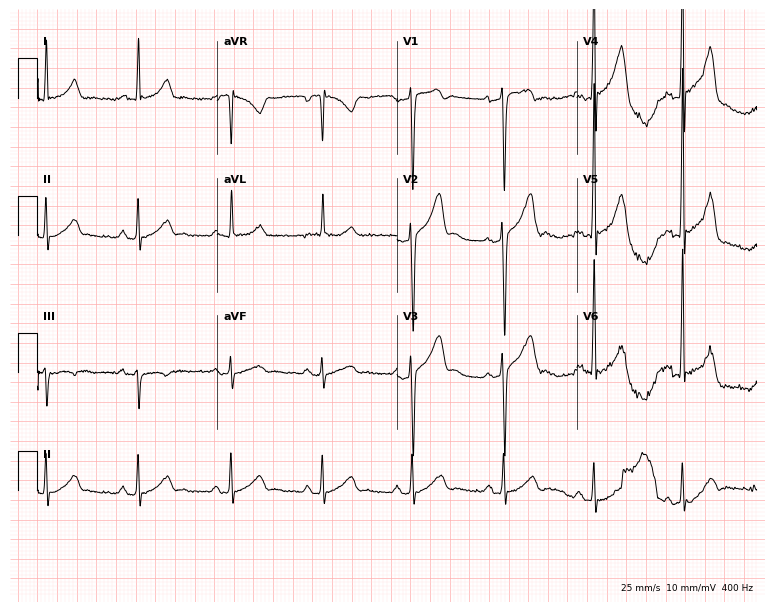
ECG (7.3-second recording at 400 Hz) — a male patient, 50 years old. Screened for six findings — first-degree AV block, right bundle branch block, left bundle branch block, sinus bradycardia, atrial fibrillation, sinus tachycardia — none is recorded.